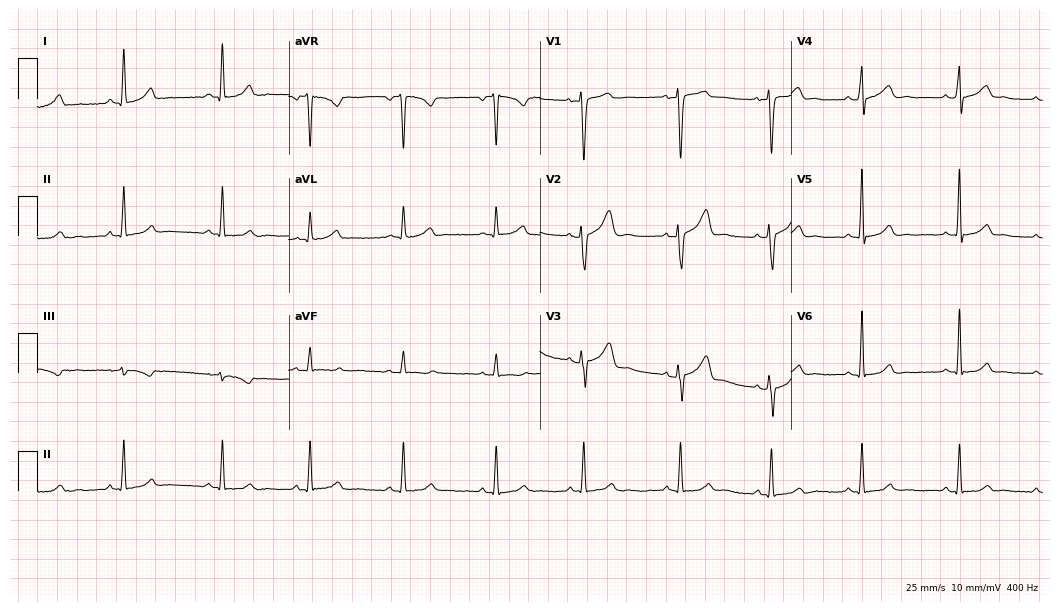
12-lead ECG from a 31-year-old woman (10.2-second recording at 400 Hz). Recorded interpretation: within normal limits.